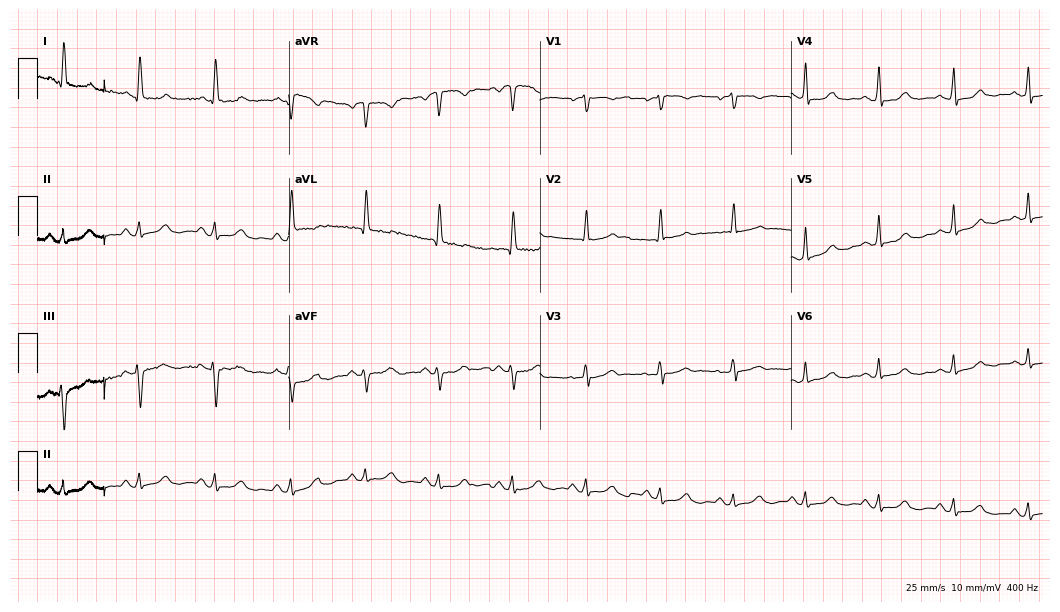
12-lead ECG from a female patient, 71 years old (10.2-second recording at 400 Hz). No first-degree AV block, right bundle branch block (RBBB), left bundle branch block (LBBB), sinus bradycardia, atrial fibrillation (AF) or sinus tachycardia recorded for this tracing. Findings outside these six are not listed.